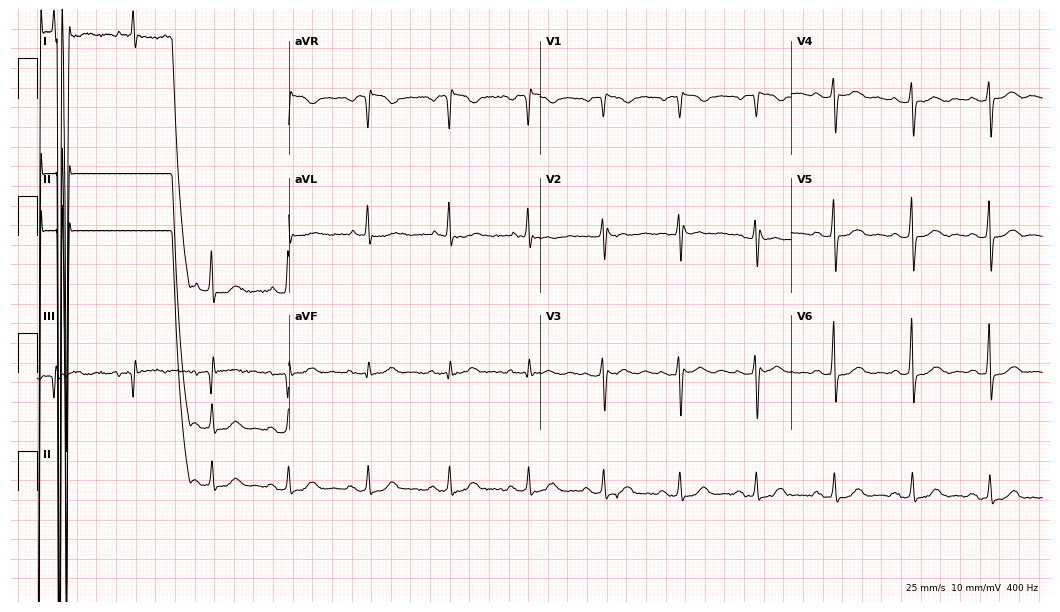
Electrocardiogram (10.2-second recording at 400 Hz), an 84-year-old male patient. Of the six screened findings (first-degree AV block, right bundle branch block, left bundle branch block, sinus bradycardia, atrial fibrillation, sinus tachycardia), none is recorded.